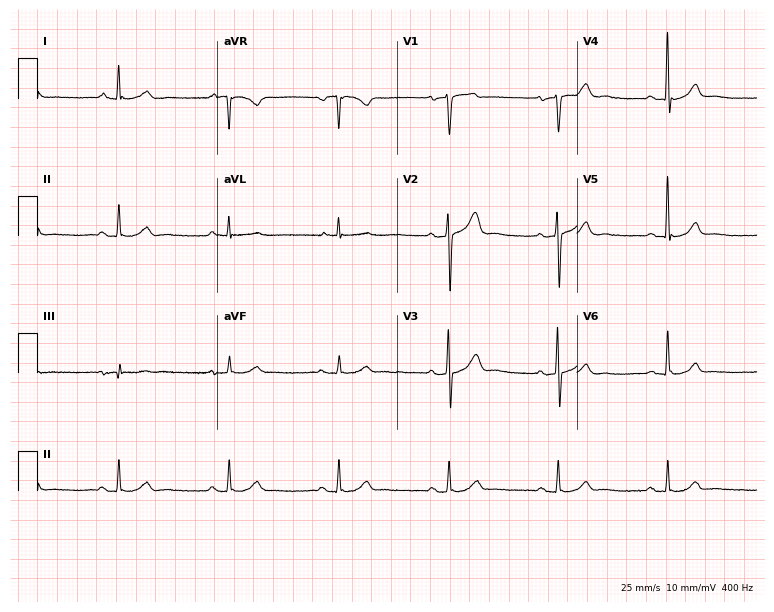
Standard 12-lead ECG recorded from a man, 63 years old. Read as a normal ECG.